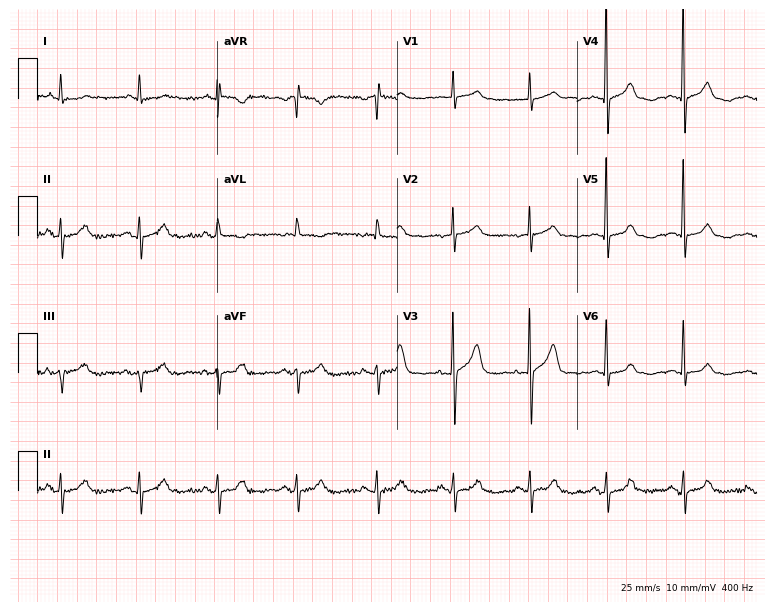
ECG (7.3-second recording at 400 Hz) — a 78-year-old female. Screened for six findings — first-degree AV block, right bundle branch block (RBBB), left bundle branch block (LBBB), sinus bradycardia, atrial fibrillation (AF), sinus tachycardia — none is recorded.